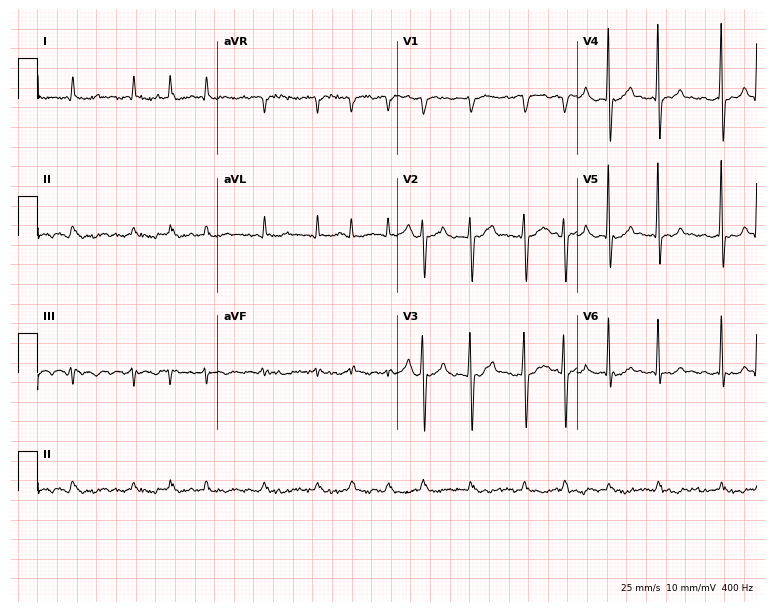
Resting 12-lead electrocardiogram. Patient: a male, 82 years old. The tracing shows atrial fibrillation.